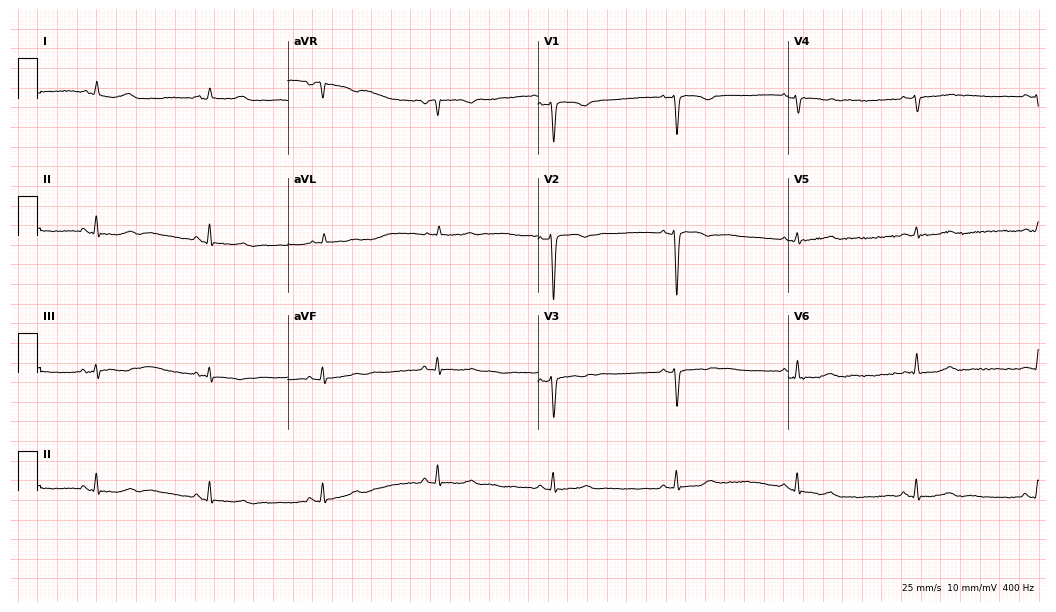
Resting 12-lead electrocardiogram (10.2-second recording at 400 Hz). Patient: a 36-year-old woman. The tracing shows sinus bradycardia (a sinus rate of 50 beats per minute or less).